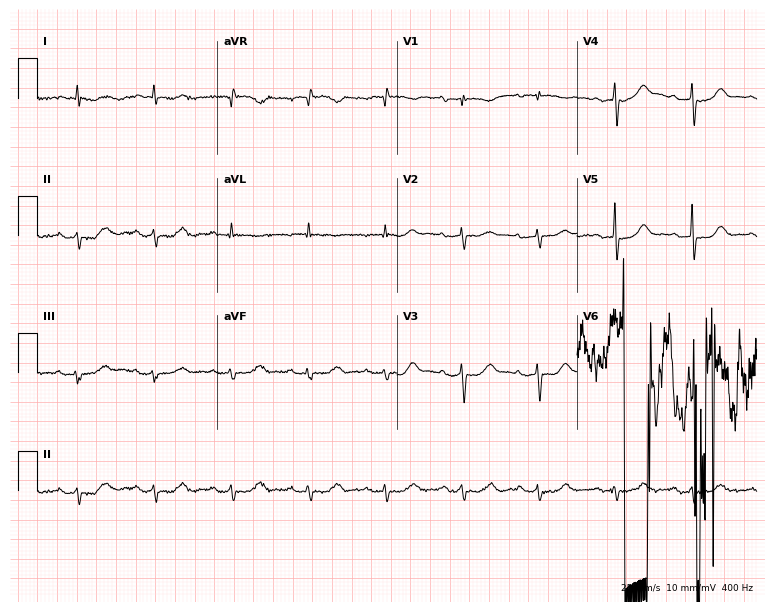
12-lead ECG from a female, 85 years old. Screened for six findings — first-degree AV block, right bundle branch block, left bundle branch block, sinus bradycardia, atrial fibrillation, sinus tachycardia — none is recorded. Other findings, if any, are not listed.